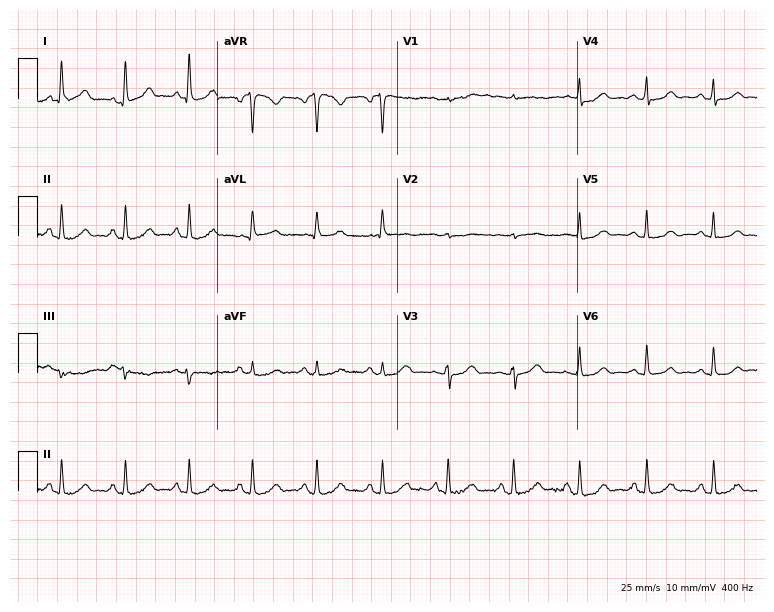
12-lead ECG (7.3-second recording at 400 Hz) from a 40-year-old woman. Labelled as a normal ECG.